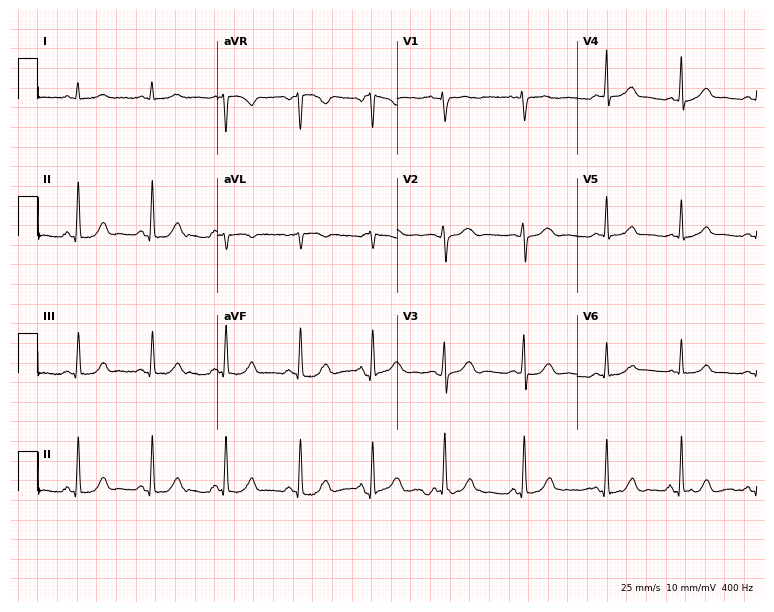
Resting 12-lead electrocardiogram. Patient: a woman, 49 years old. Read as a normal ECG.